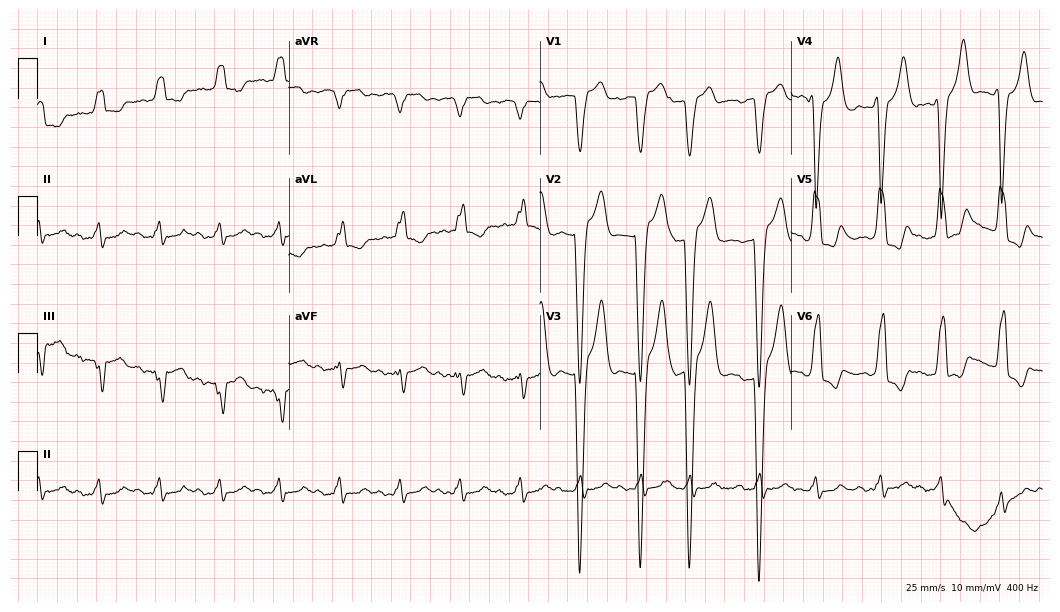
Resting 12-lead electrocardiogram. Patient: a male, 83 years old. None of these six findings is recorded: first-degree AV block, right bundle branch block, left bundle branch block, sinus bradycardia, atrial fibrillation, sinus tachycardia. Other findings, if any, are not listed.